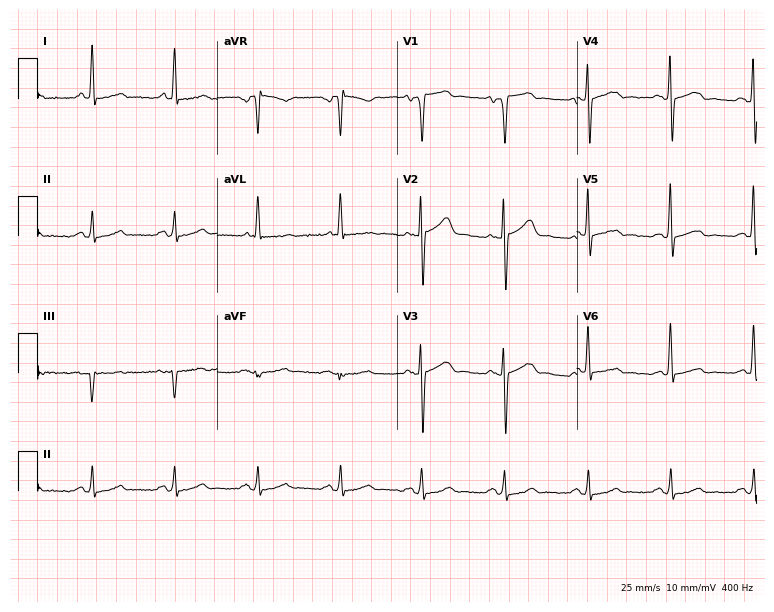
12-lead ECG from a 77-year-old man. No first-degree AV block, right bundle branch block (RBBB), left bundle branch block (LBBB), sinus bradycardia, atrial fibrillation (AF) or sinus tachycardia recorded for this tracing. Other findings, if any, are not listed.